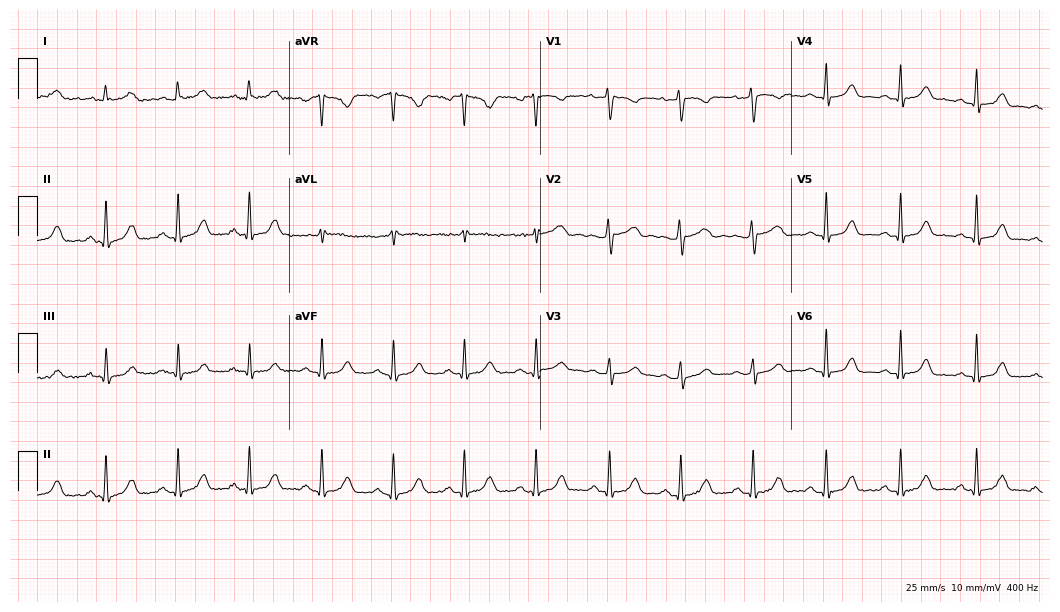
Resting 12-lead electrocardiogram (10.2-second recording at 400 Hz). Patient: a female, 36 years old. Read as a normal ECG.